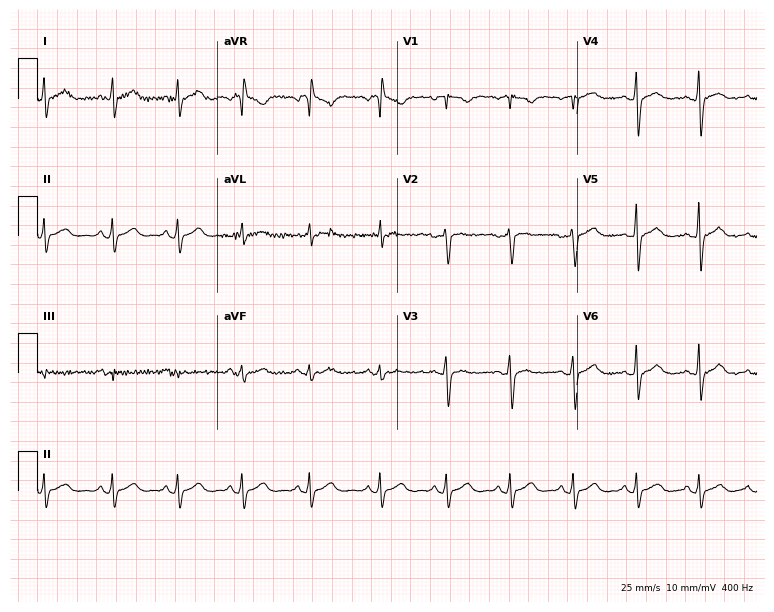
Resting 12-lead electrocardiogram (7.3-second recording at 400 Hz). Patient: a female, 30 years old. Read as a normal ECG.